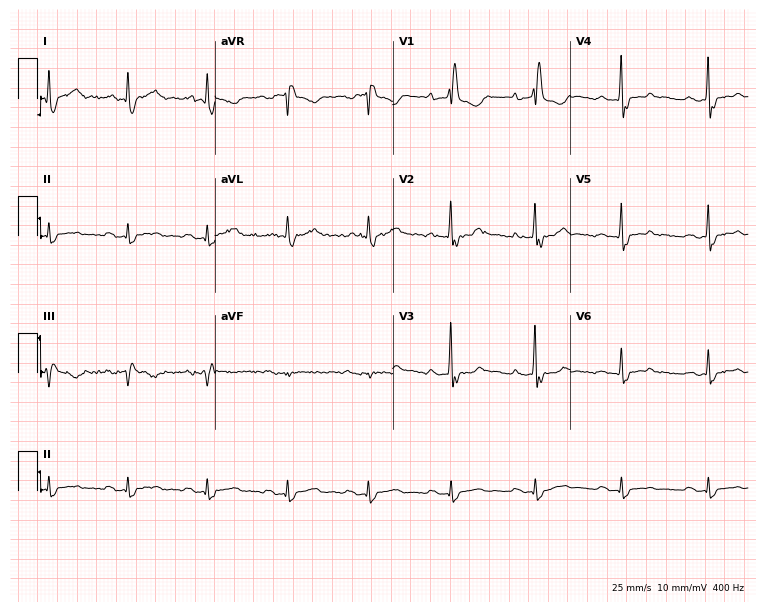
12-lead ECG from a female patient, 72 years old. No first-degree AV block, right bundle branch block, left bundle branch block, sinus bradycardia, atrial fibrillation or sinus tachycardia recorded for this tracing. Findings outside these six are not listed.